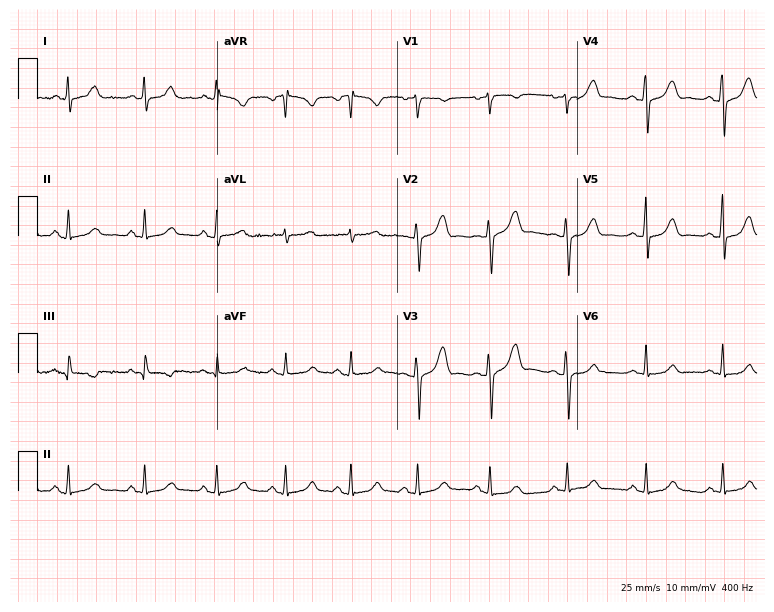
Resting 12-lead electrocardiogram (7.3-second recording at 400 Hz). Patient: a female, 33 years old. Read as a normal ECG.